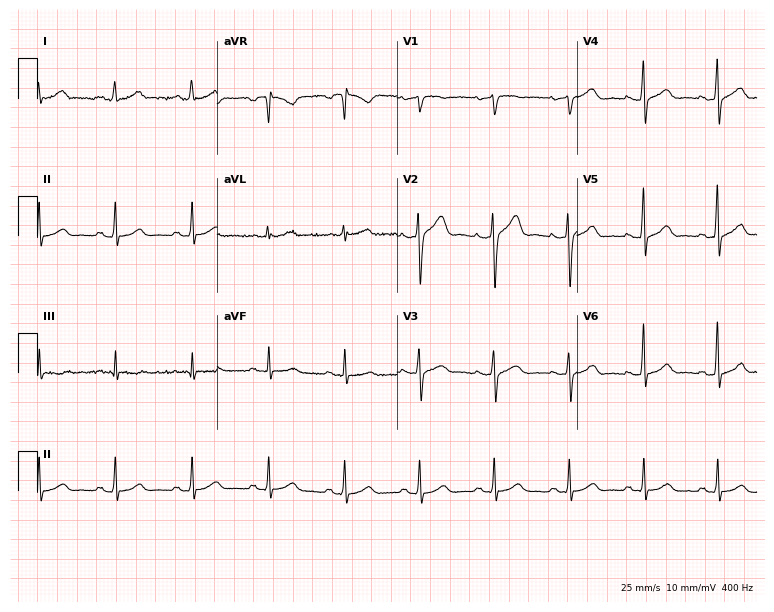
Resting 12-lead electrocardiogram. Patient: a male, 59 years old. Read as a normal ECG.